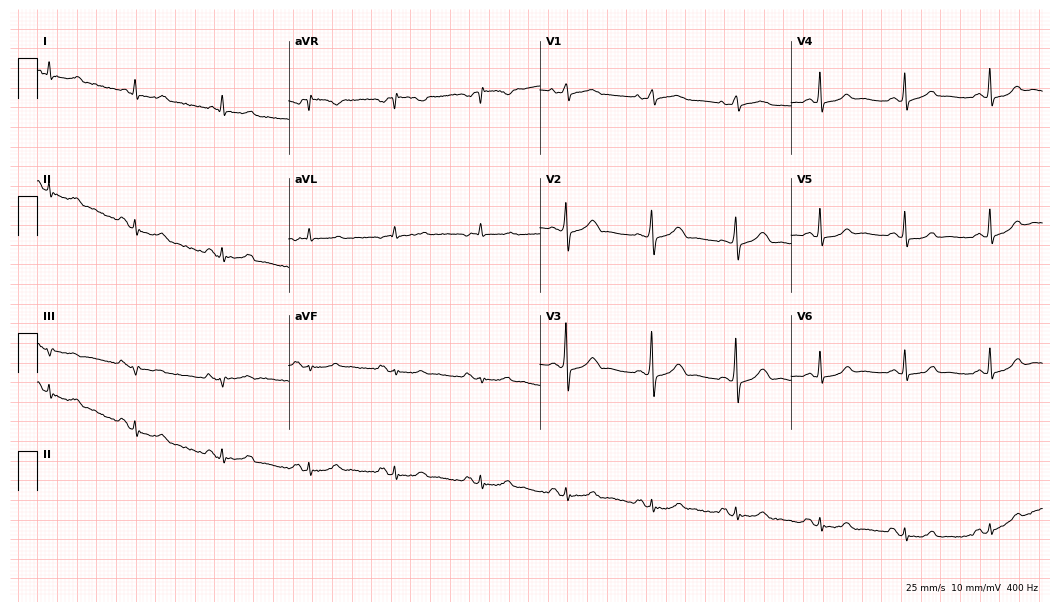
12-lead ECG (10.2-second recording at 400 Hz) from a female, 80 years old. Screened for six findings — first-degree AV block, right bundle branch block, left bundle branch block, sinus bradycardia, atrial fibrillation, sinus tachycardia — none is recorded. Other findings, if any, are not listed.